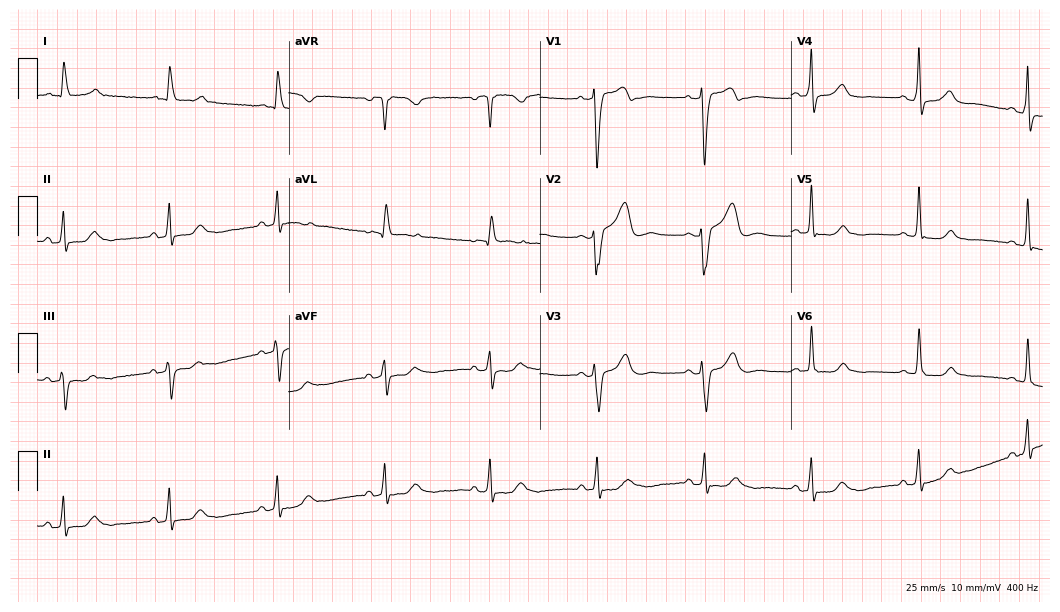
Resting 12-lead electrocardiogram. Patient: a 73-year-old female. None of these six findings is recorded: first-degree AV block, right bundle branch block, left bundle branch block, sinus bradycardia, atrial fibrillation, sinus tachycardia.